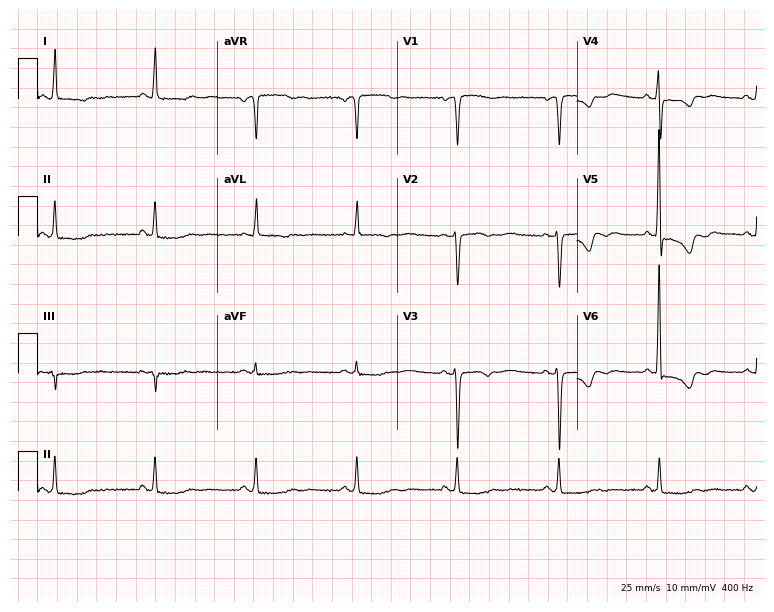
Resting 12-lead electrocardiogram. Patient: a 64-year-old female. None of these six findings is recorded: first-degree AV block, right bundle branch block (RBBB), left bundle branch block (LBBB), sinus bradycardia, atrial fibrillation (AF), sinus tachycardia.